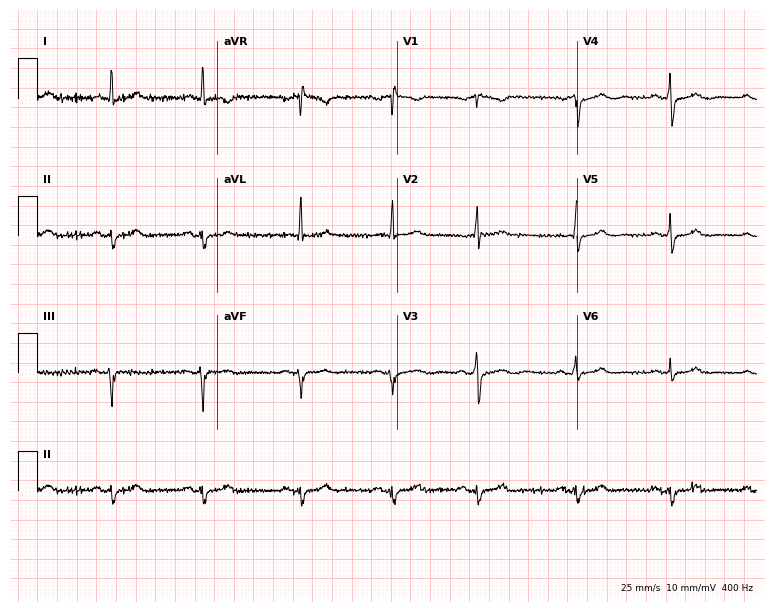
Standard 12-lead ECG recorded from a man, 57 years old (7.3-second recording at 400 Hz). None of these six findings is recorded: first-degree AV block, right bundle branch block (RBBB), left bundle branch block (LBBB), sinus bradycardia, atrial fibrillation (AF), sinus tachycardia.